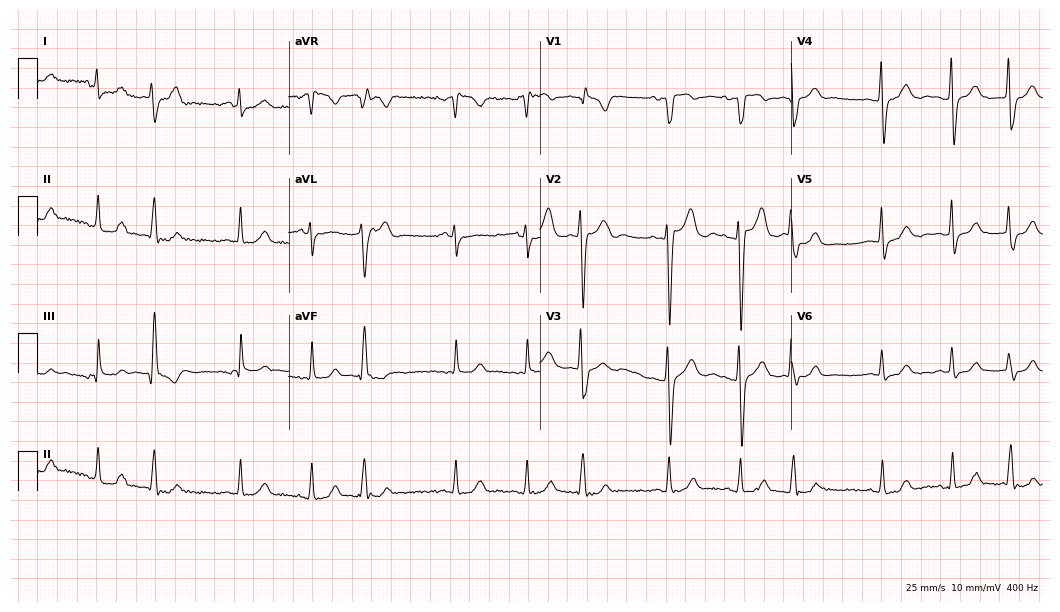
Electrocardiogram, a male patient, 37 years old. Overall reading on record: normal ECG.